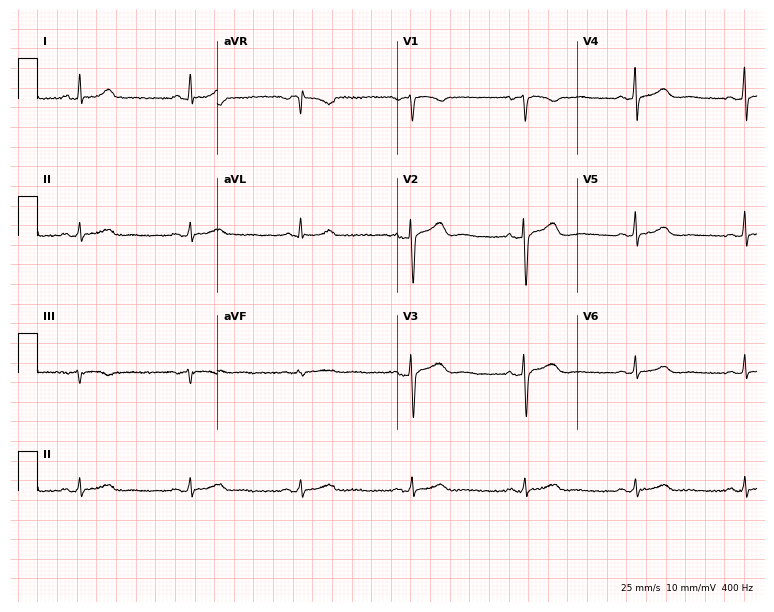
Standard 12-lead ECG recorded from a female patient, 59 years old. None of these six findings is recorded: first-degree AV block, right bundle branch block, left bundle branch block, sinus bradycardia, atrial fibrillation, sinus tachycardia. Findings outside these six are not listed.